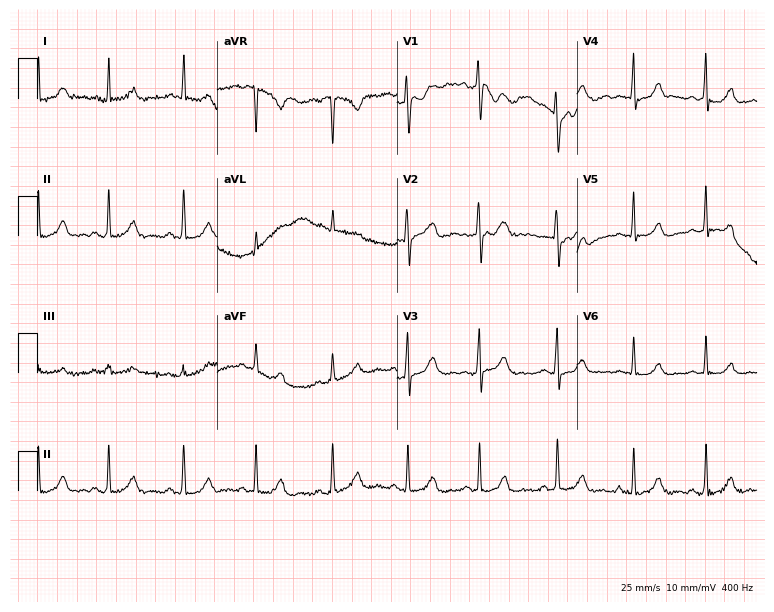
ECG (7.3-second recording at 400 Hz) — an 18-year-old woman. Labelled as a normal ECG.